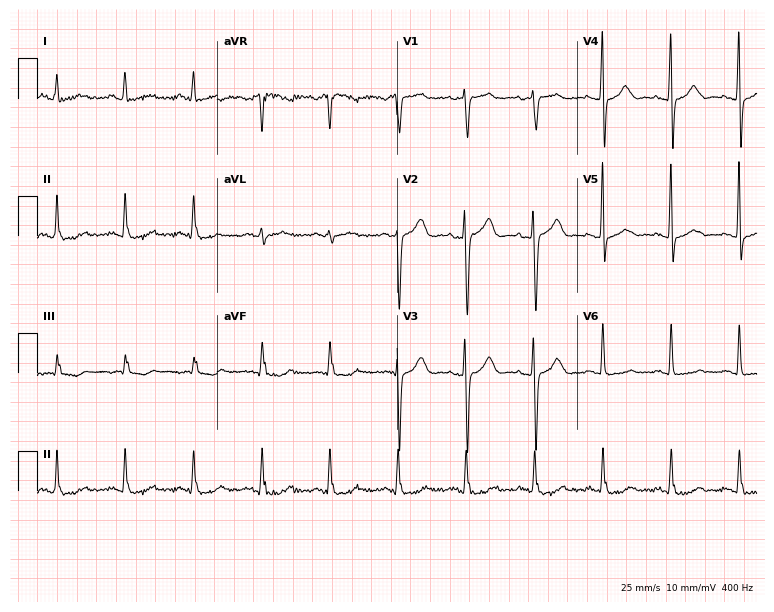
Electrocardiogram (7.3-second recording at 400 Hz), a female, 53 years old. Overall reading on record: normal ECG.